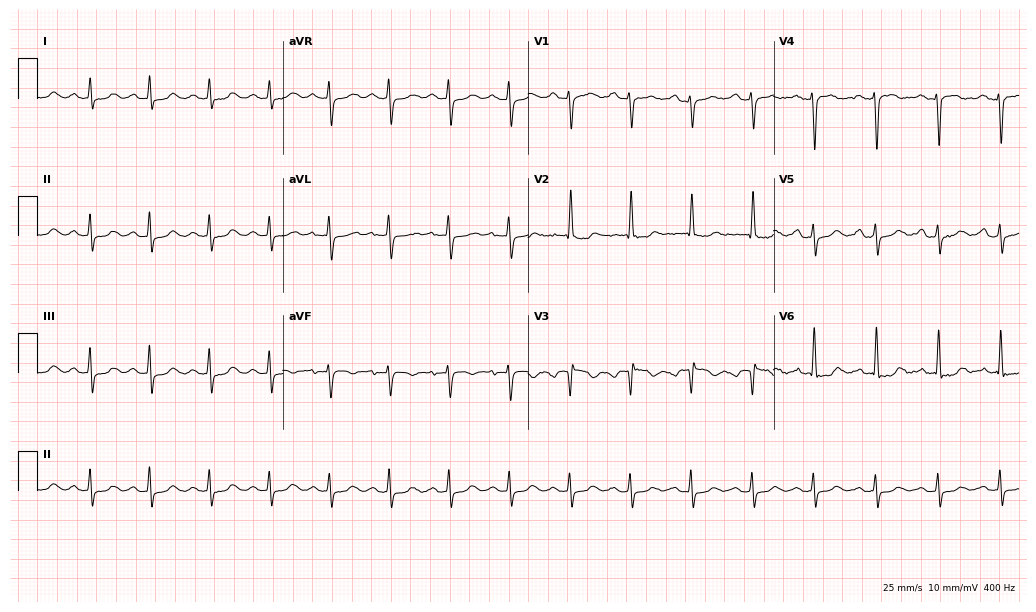
ECG (10-second recording at 400 Hz) — an 82-year-old female patient. Screened for six findings — first-degree AV block, right bundle branch block, left bundle branch block, sinus bradycardia, atrial fibrillation, sinus tachycardia — none is recorded. Other findings, if any, are not listed.